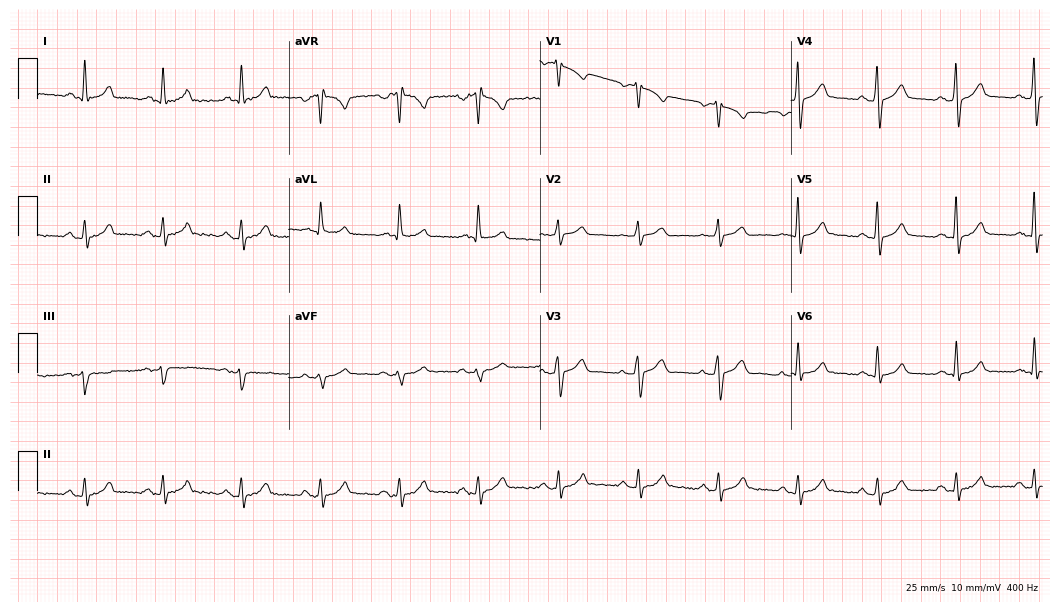
Standard 12-lead ECG recorded from a 66-year-old man. None of these six findings is recorded: first-degree AV block, right bundle branch block (RBBB), left bundle branch block (LBBB), sinus bradycardia, atrial fibrillation (AF), sinus tachycardia. Other findings, if any, are not listed.